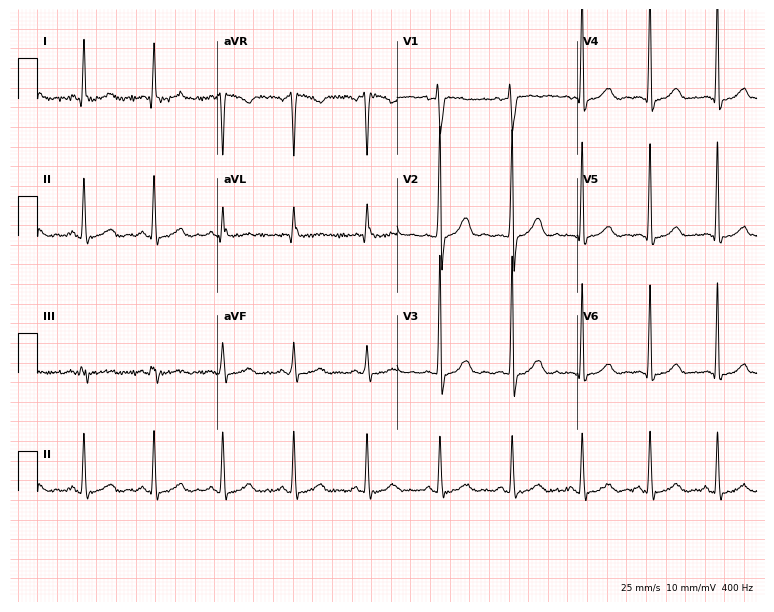
12-lead ECG from a female, 43 years old. Recorded interpretation: within normal limits.